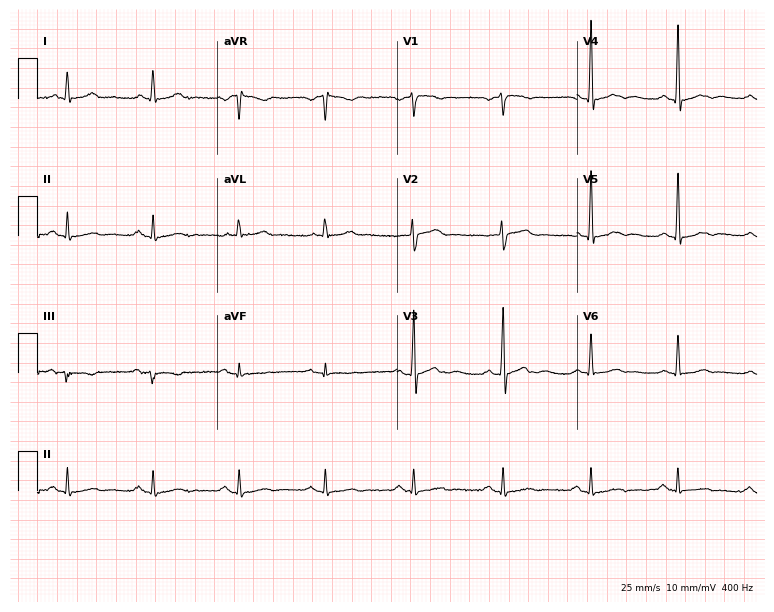
12-lead ECG from a male patient, 65 years old. Recorded interpretation: within normal limits.